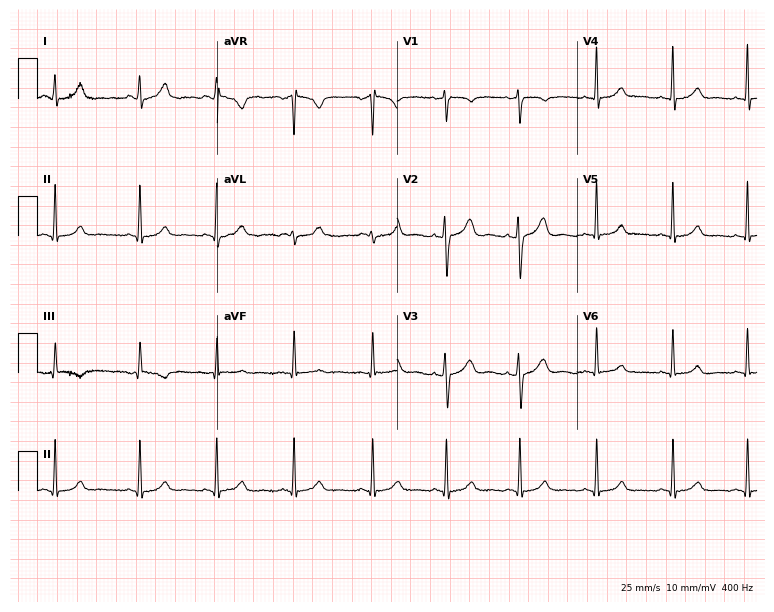
12-lead ECG from a female, 29 years old. Screened for six findings — first-degree AV block, right bundle branch block, left bundle branch block, sinus bradycardia, atrial fibrillation, sinus tachycardia — none is recorded. Findings outside these six are not listed.